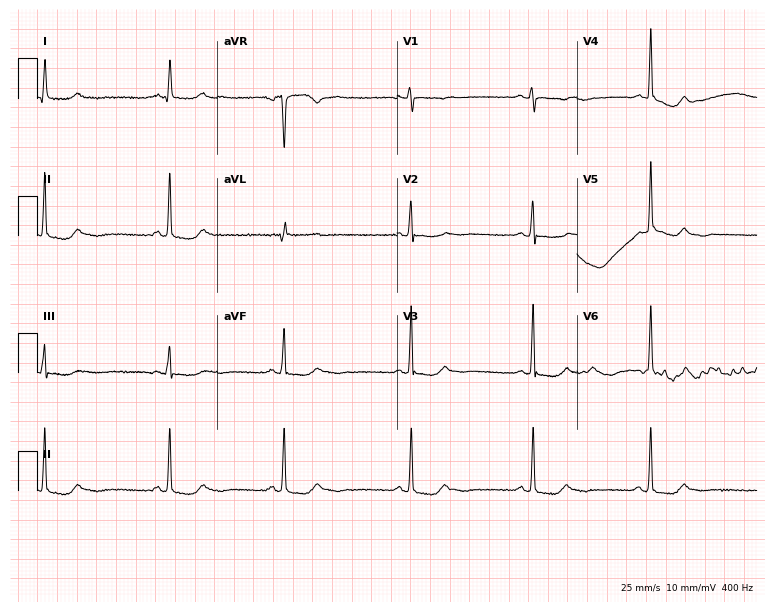
Resting 12-lead electrocardiogram (7.3-second recording at 400 Hz). Patient: a 65-year-old woman. None of these six findings is recorded: first-degree AV block, right bundle branch block, left bundle branch block, sinus bradycardia, atrial fibrillation, sinus tachycardia. Only these six findings were labelled.